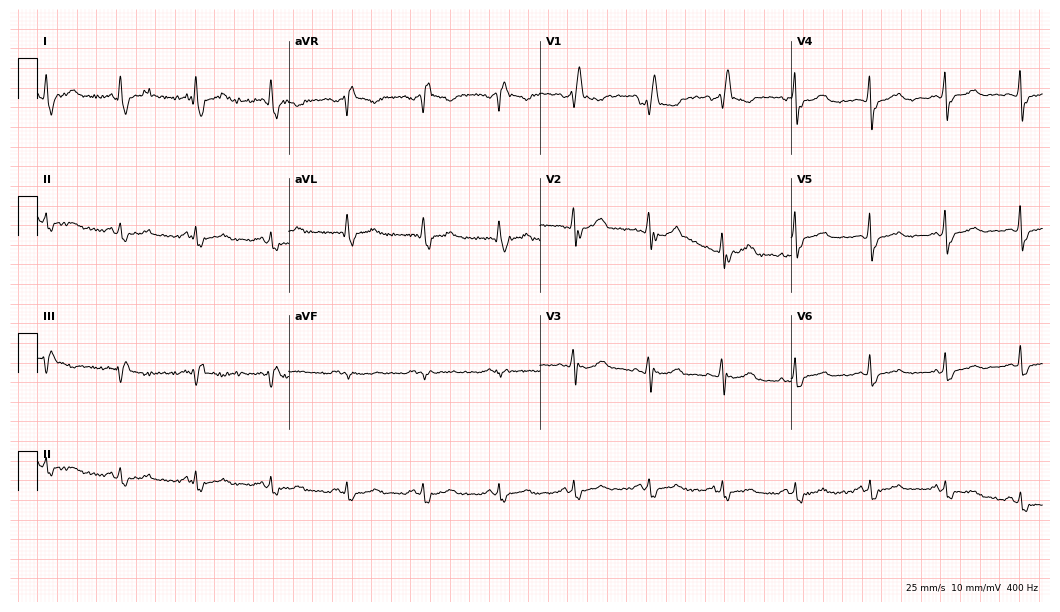
Electrocardiogram, a male patient, 48 years old. Interpretation includes right bundle branch block.